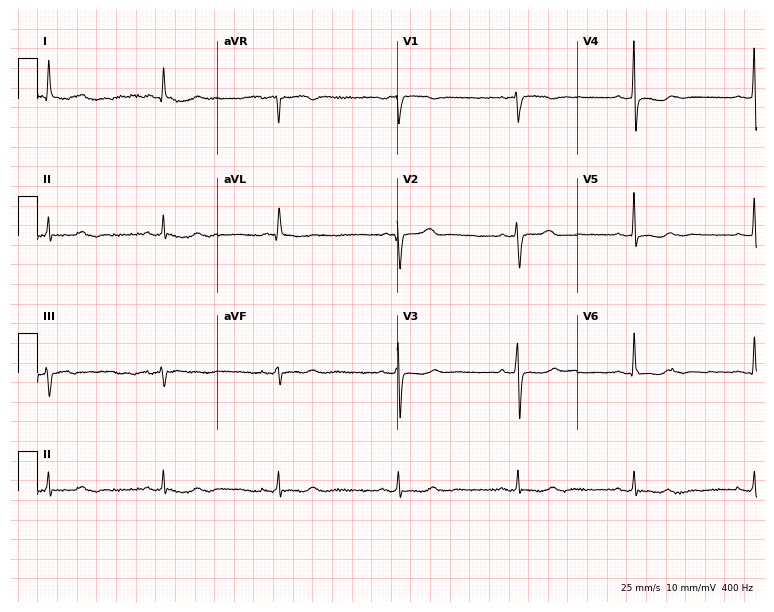
ECG — a female, 65 years old. Screened for six findings — first-degree AV block, right bundle branch block (RBBB), left bundle branch block (LBBB), sinus bradycardia, atrial fibrillation (AF), sinus tachycardia — none is recorded. Only these six findings were labelled.